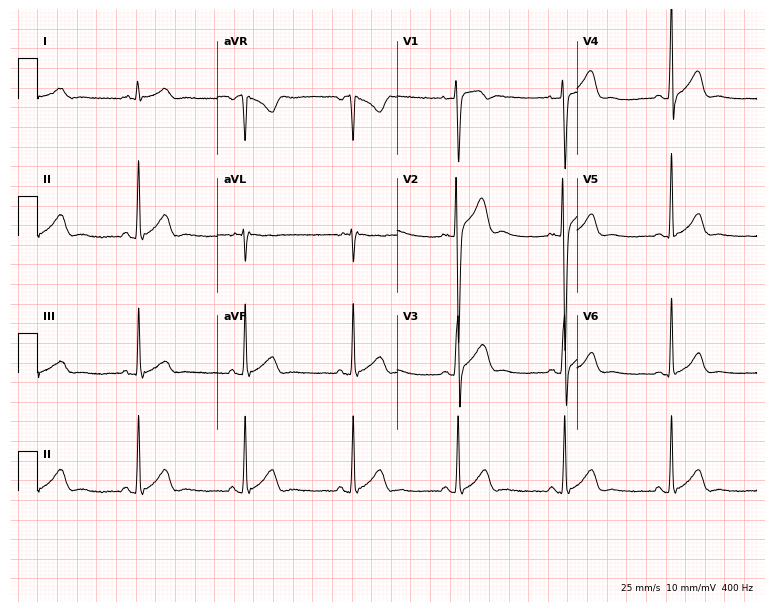
Standard 12-lead ECG recorded from a man, 35 years old. Read as a normal ECG.